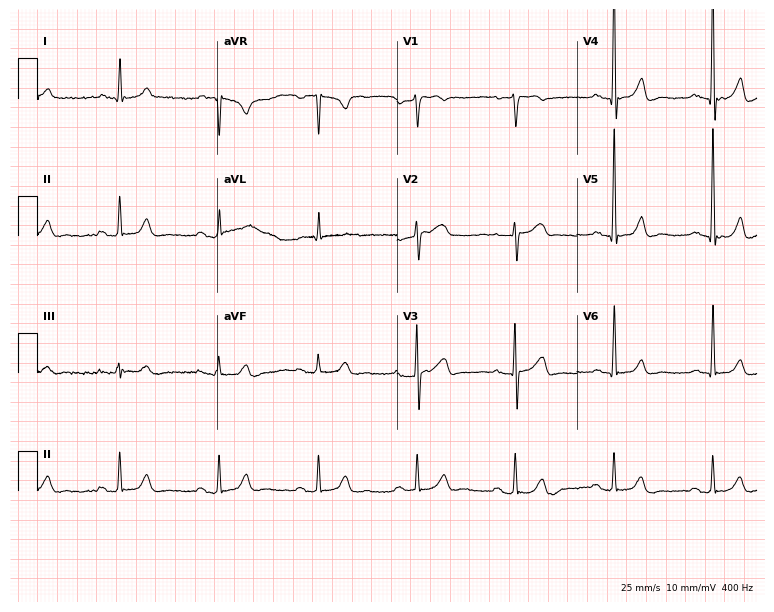
ECG (7.3-second recording at 400 Hz) — a 72-year-old female patient. Findings include first-degree AV block.